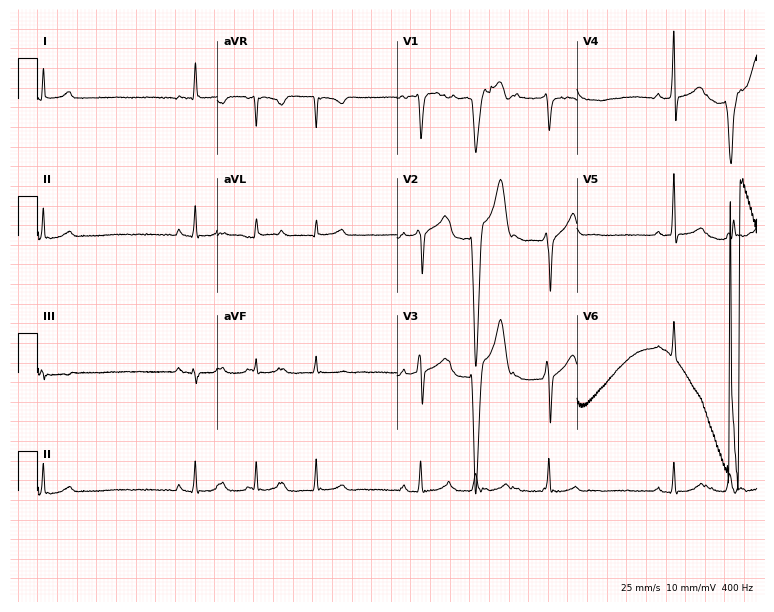
ECG — a 47-year-old male patient. Labelled as a normal ECG.